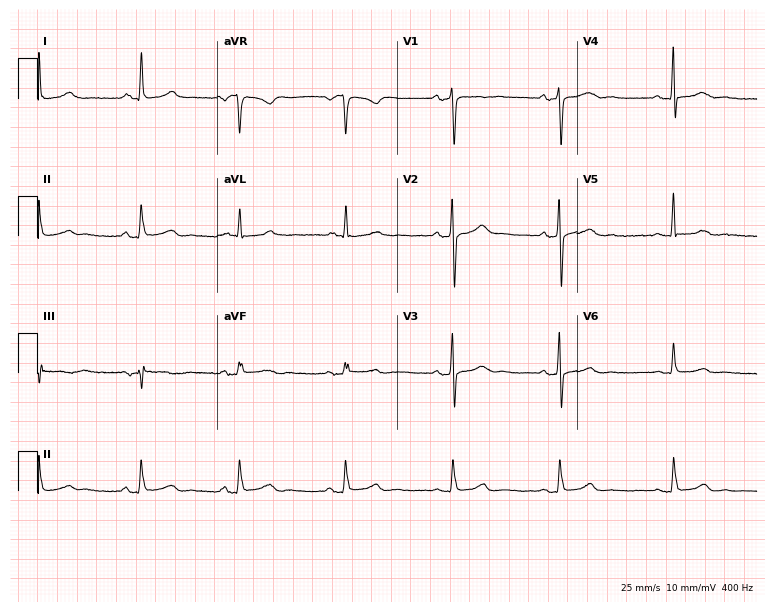
Electrocardiogram (7.3-second recording at 400 Hz), a female, 49 years old. Overall reading on record: normal ECG.